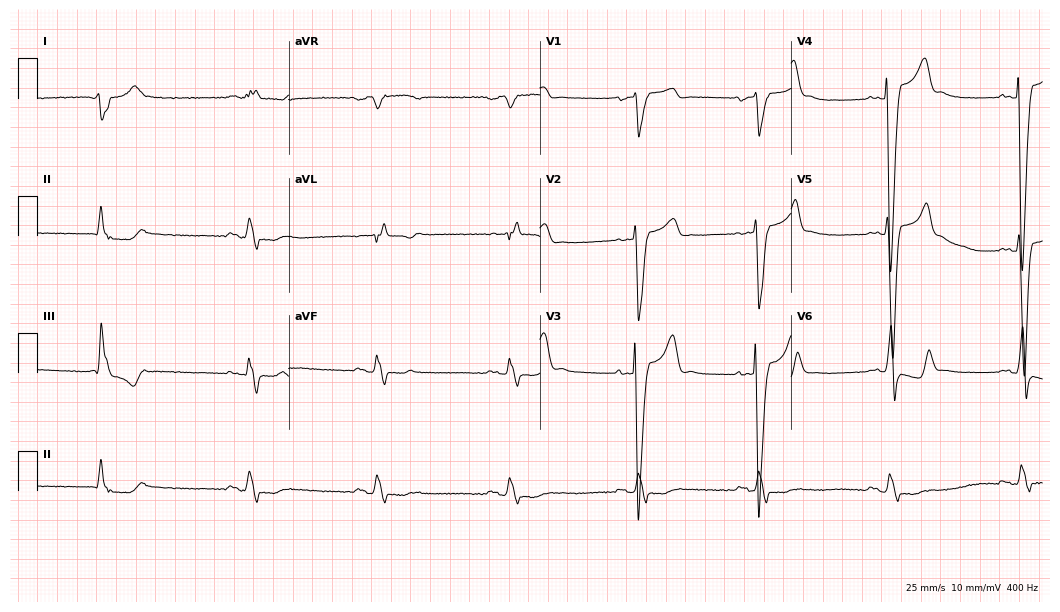
Standard 12-lead ECG recorded from a 69-year-old male patient. The tracing shows left bundle branch block, sinus bradycardia (a sinus rate of 50 beats per minute or less).